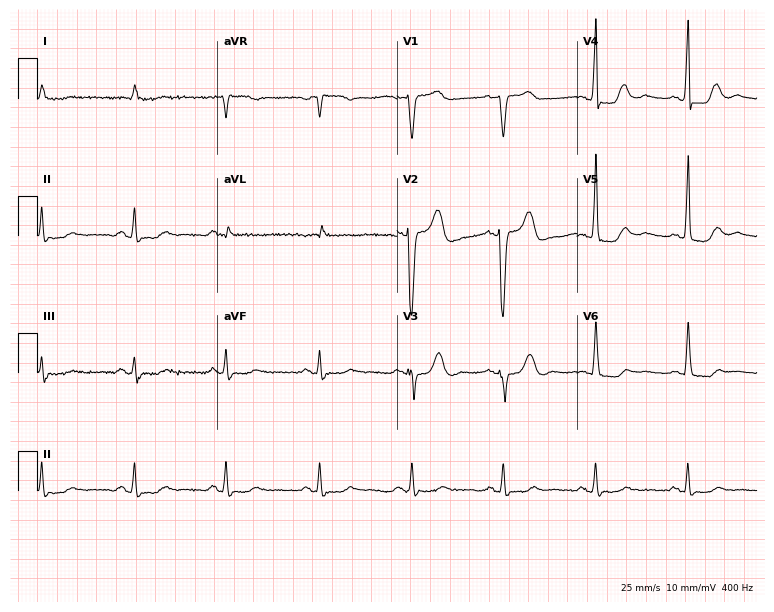
ECG (7.3-second recording at 400 Hz) — a man, 78 years old. Screened for six findings — first-degree AV block, right bundle branch block, left bundle branch block, sinus bradycardia, atrial fibrillation, sinus tachycardia — none is recorded.